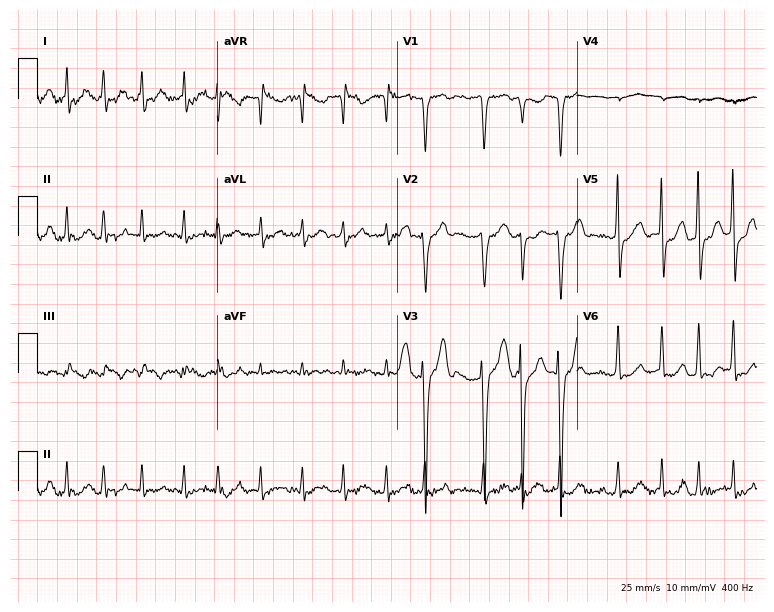
Electrocardiogram, a 76-year-old woman. Interpretation includes atrial fibrillation.